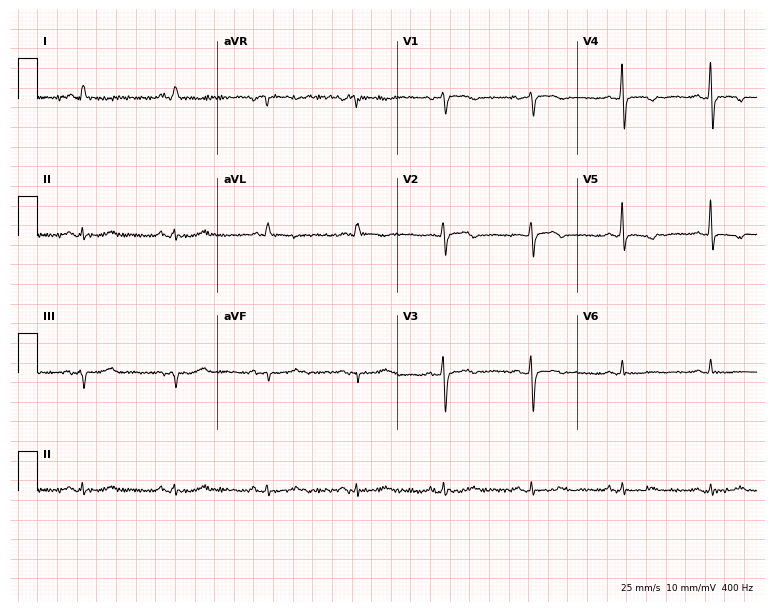
Resting 12-lead electrocardiogram (7.3-second recording at 400 Hz). Patient: a female, 56 years old. None of these six findings is recorded: first-degree AV block, right bundle branch block, left bundle branch block, sinus bradycardia, atrial fibrillation, sinus tachycardia.